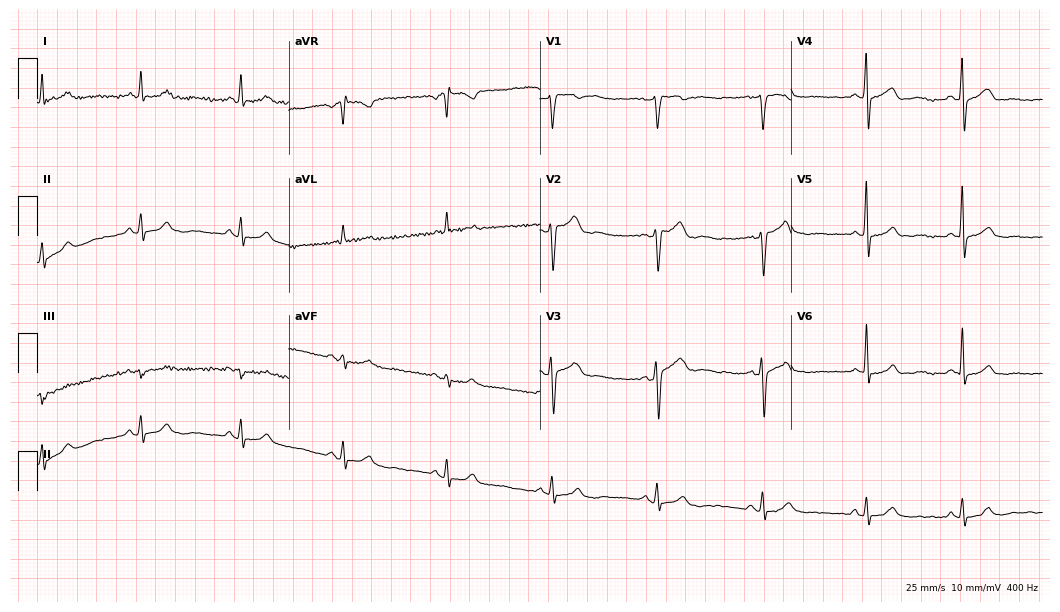
Standard 12-lead ECG recorded from a male patient, 51 years old. None of these six findings is recorded: first-degree AV block, right bundle branch block (RBBB), left bundle branch block (LBBB), sinus bradycardia, atrial fibrillation (AF), sinus tachycardia. Only these six findings were labelled.